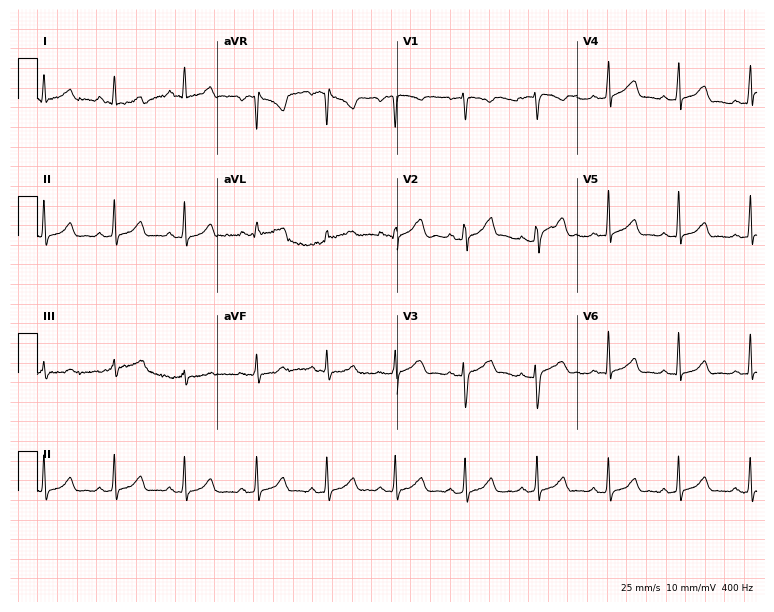
12-lead ECG from a 19-year-old woman. Labelled as a normal ECG.